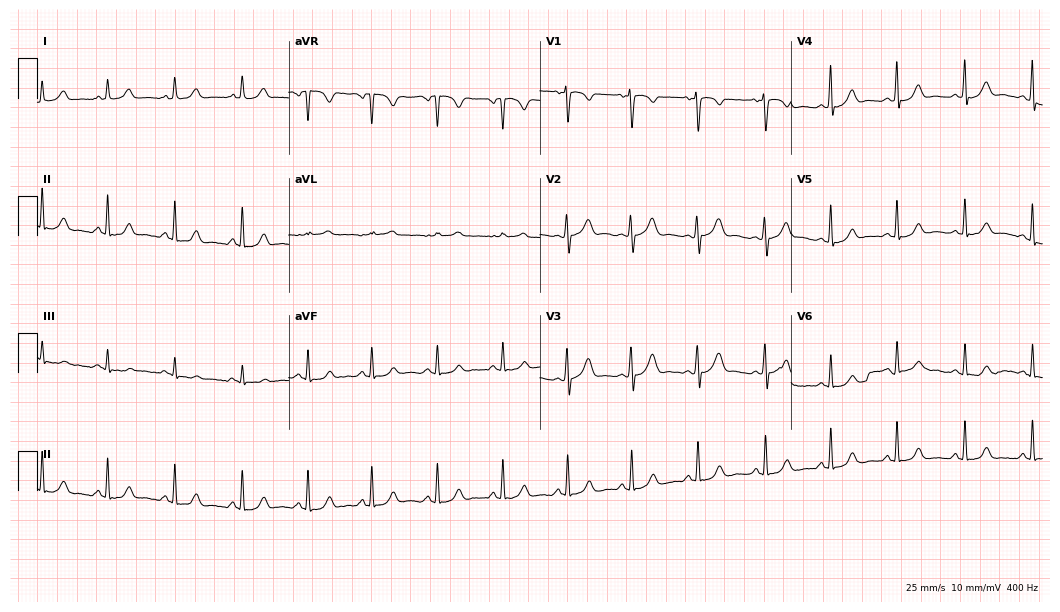
ECG — a 21-year-old female. Labelled as a normal ECG.